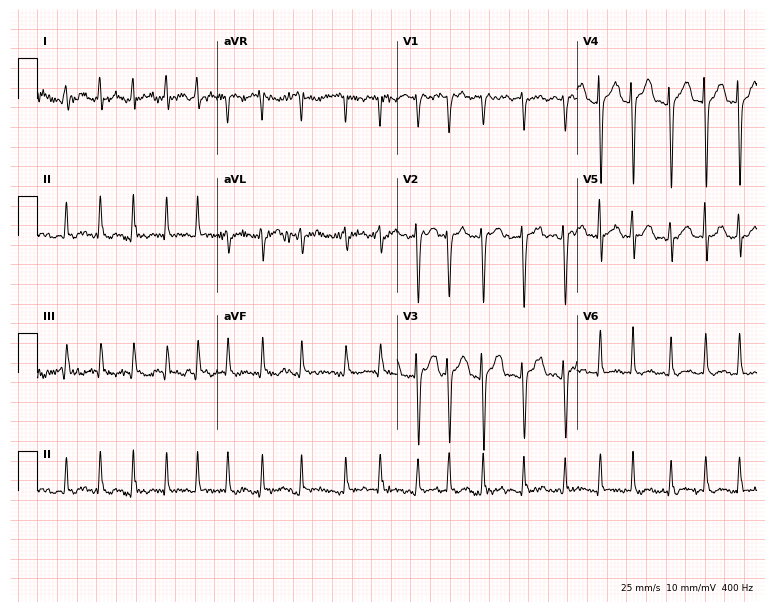
Electrocardiogram (7.3-second recording at 400 Hz), a 45-year-old female. Interpretation includes atrial fibrillation.